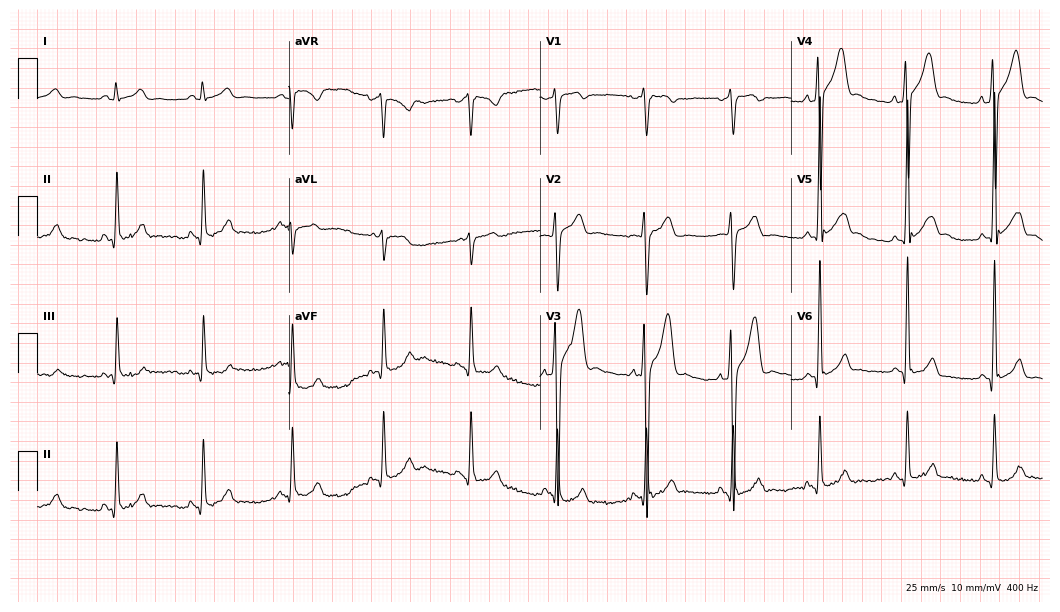
12-lead ECG from a 17-year-old male. Recorded interpretation: within normal limits.